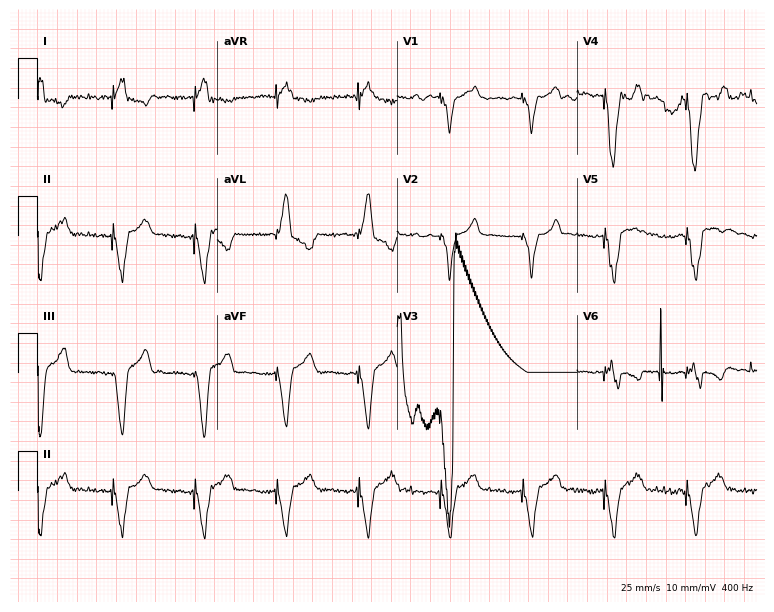
Standard 12-lead ECG recorded from a woman, 69 years old (7.3-second recording at 400 Hz). None of these six findings is recorded: first-degree AV block, right bundle branch block (RBBB), left bundle branch block (LBBB), sinus bradycardia, atrial fibrillation (AF), sinus tachycardia. Findings outside these six are not listed.